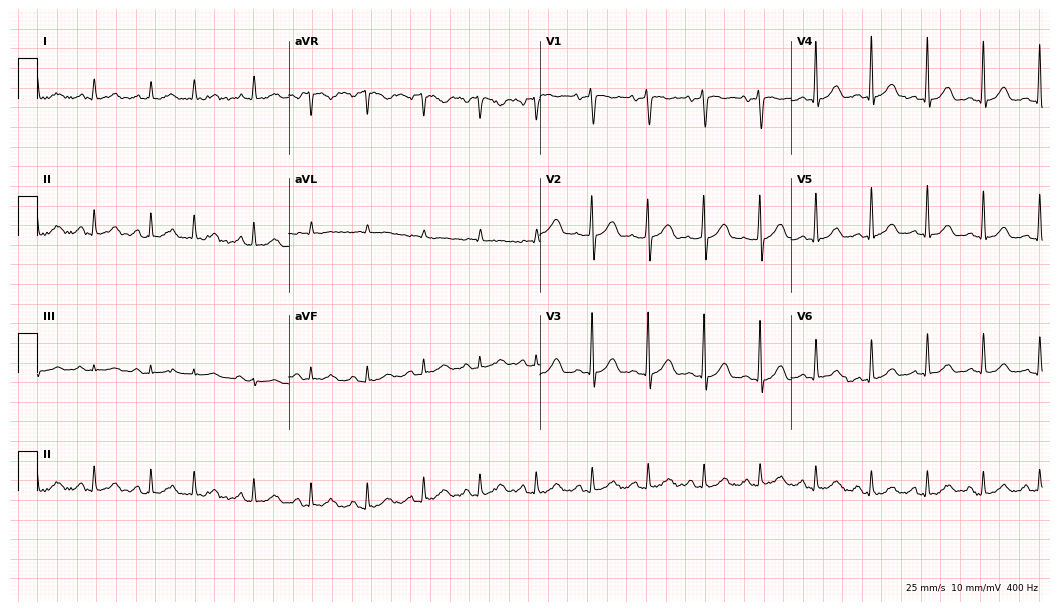
Standard 12-lead ECG recorded from a 74-year-old male patient. The tracing shows sinus tachycardia (a sinus rate of 100 beats per minute or more).